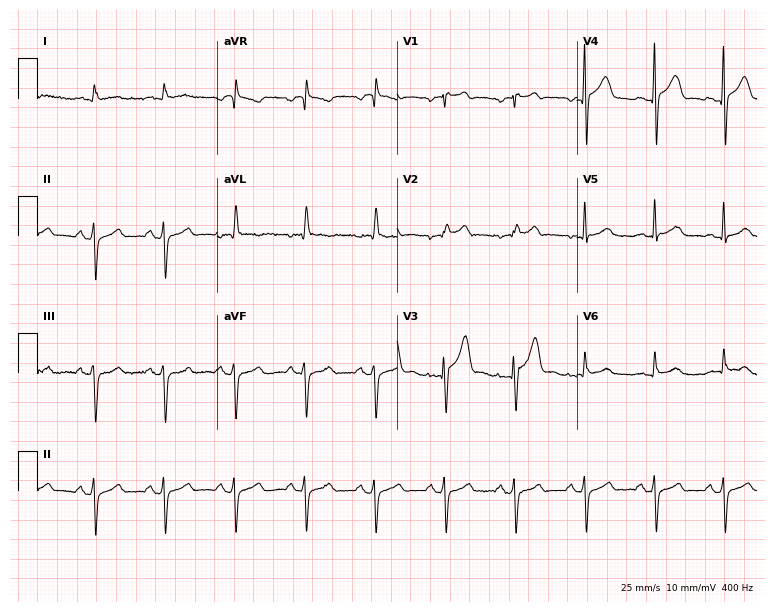
12-lead ECG from a 72-year-old woman. Screened for six findings — first-degree AV block, right bundle branch block, left bundle branch block, sinus bradycardia, atrial fibrillation, sinus tachycardia — none is recorded.